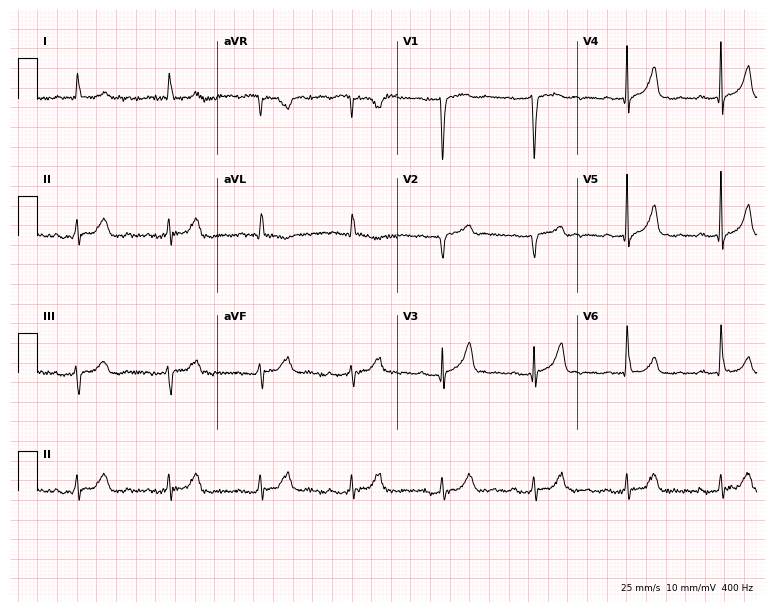
Resting 12-lead electrocardiogram (7.3-second recording at 400 Hz). Patient: a 67-year-old man. None of these six findings is recorded: first-degree AV block, right bundle branch block, left bundle branch block, sinus bradycardia, atrial fibrillation, sinus tachycardia. Only these six findings were labelled.